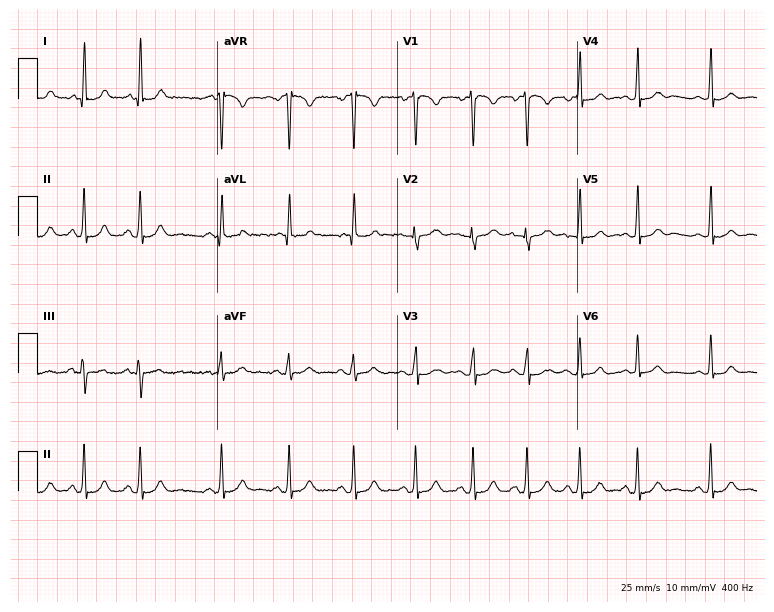
Electrocardiogram, a 29-year-old female. Overall reading on record: normal ECG.